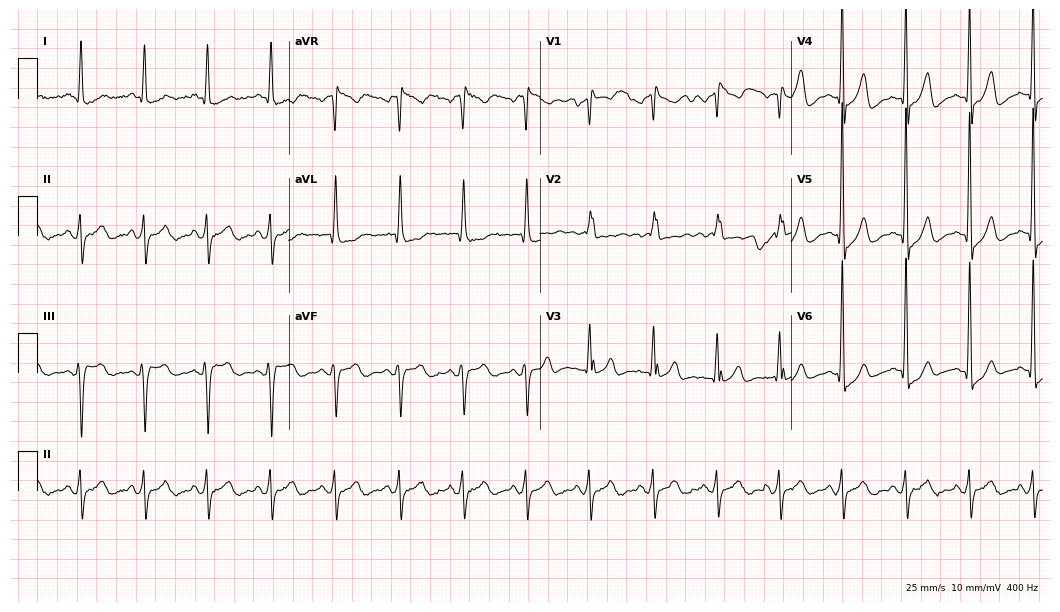
Resting 12-lead electrocardiogram (10.2-second recording at 400 Hz). Patient: a 69-year-old man. None of these six findings is recorded: first-degree AV block, right bundle branch block, left bundle branch block, sinus bradycardia, atrial fibrillation, sinus tachycardia. Other findings, if any, are not listed.